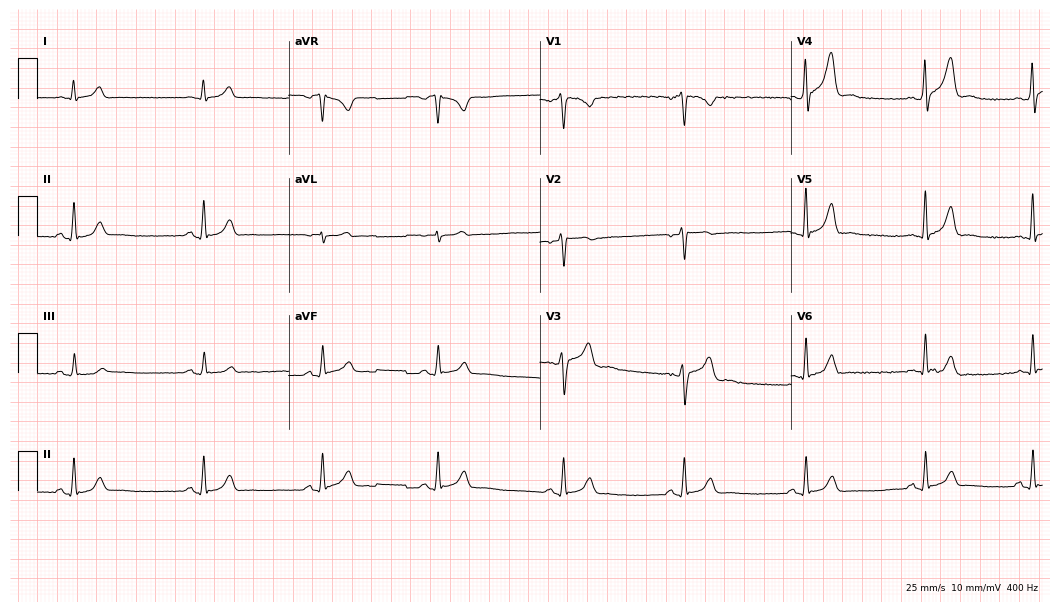
Standard 12-lead ECG recorded from a man, 27 years old. Read as a normal ECG.